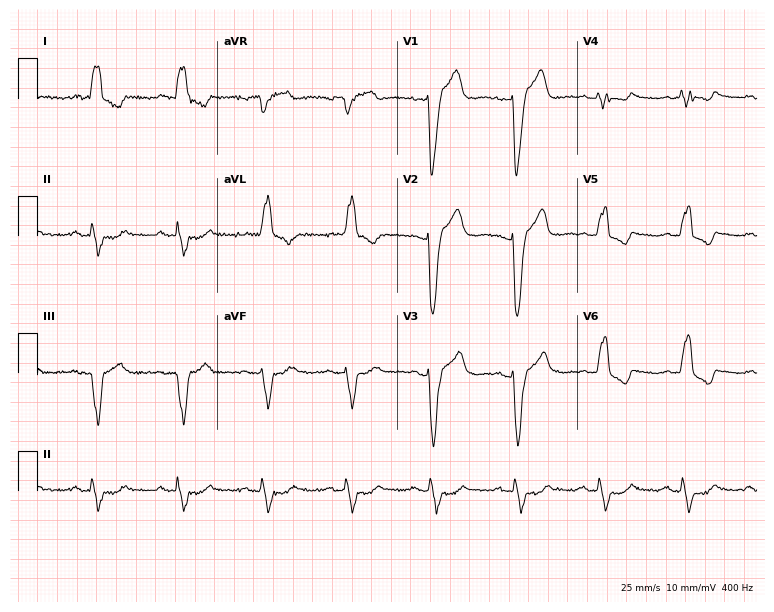
Electrocardiogram, a 60-year-old male patient. Interpretation includes left bundle branch block.